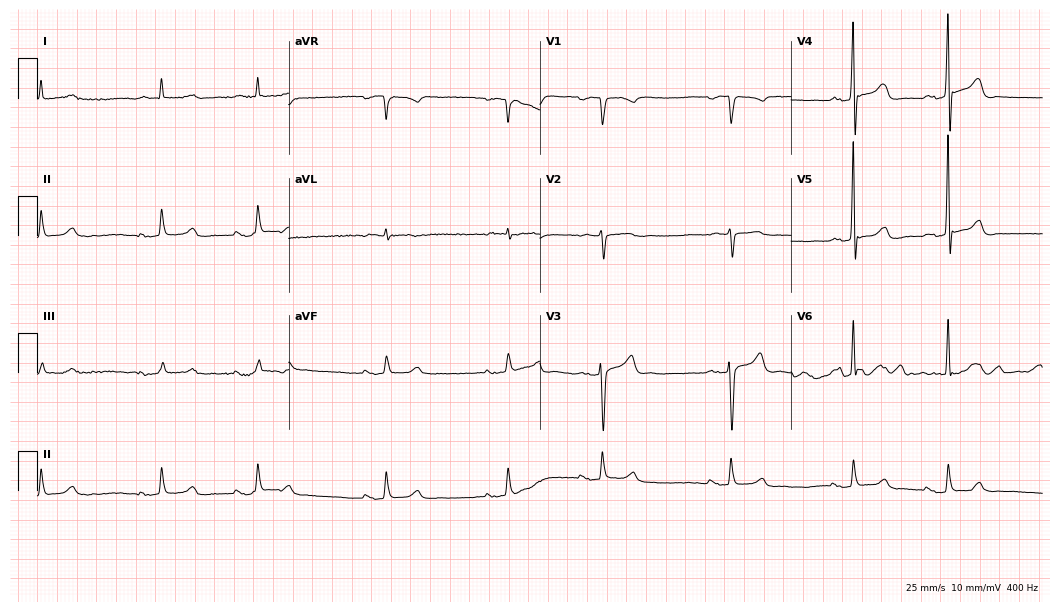
Resting 12-lead electrocardiogram. Patient: an 80-year-old man. None of these six findings is recorded: first-degree AV block, right bundle branch block, left bundle branch block, sinus bradycardia, atrial fibrillation, sinus tachycardia.